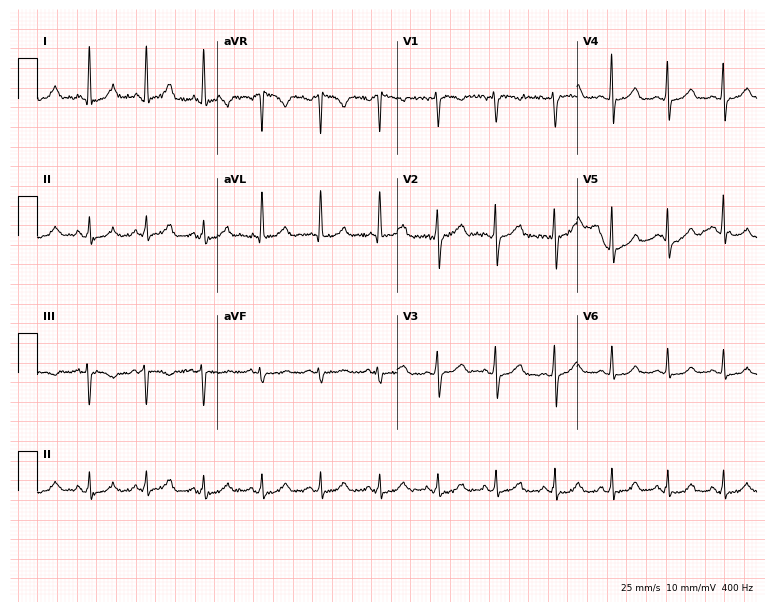
ECG — a 44-year-old female patient. Findings include sinus tachycardia (a sinus rate of 100 beats per minute or more).